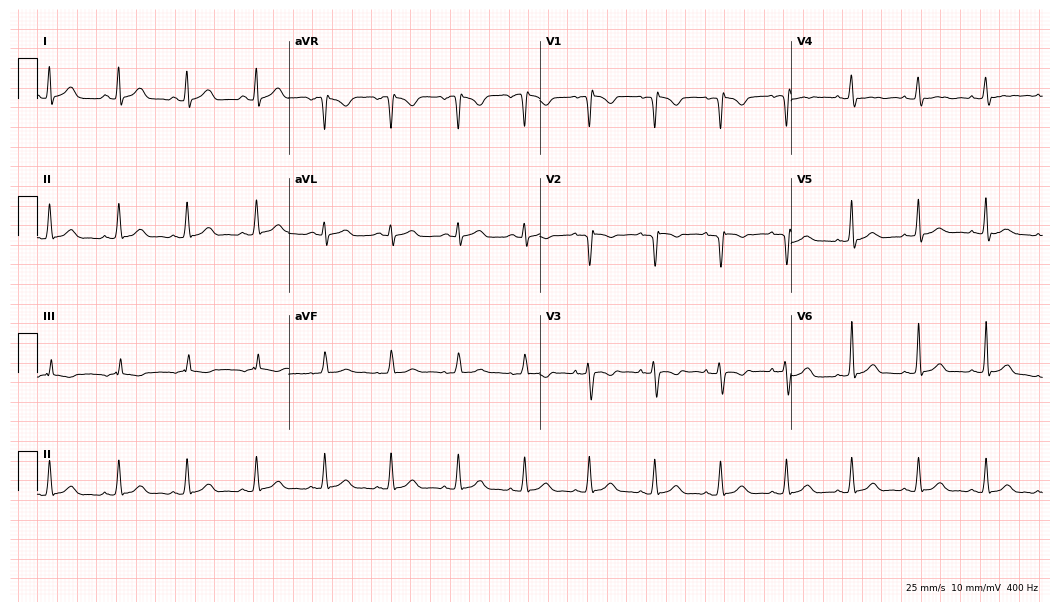
12-lead ECG from a woman, 20 years old (10.2-second recording at 400 Hz). No first-degree AV block, right bundle branch block (RBBB), left bundle branch block (LBBB), sinus bradycardia, atrial fibrillation (AF) or sinus tachycardia recorded for this tracing. Findings outside these six are not listed.